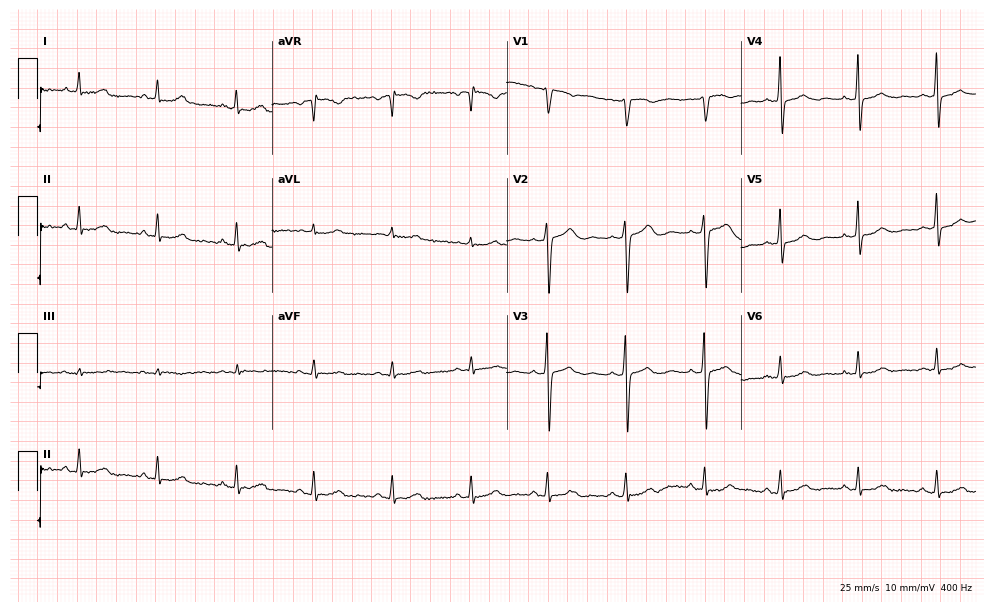
Electrocardiogram, a 37-year-old female. Overall reading on record: normal ECG.